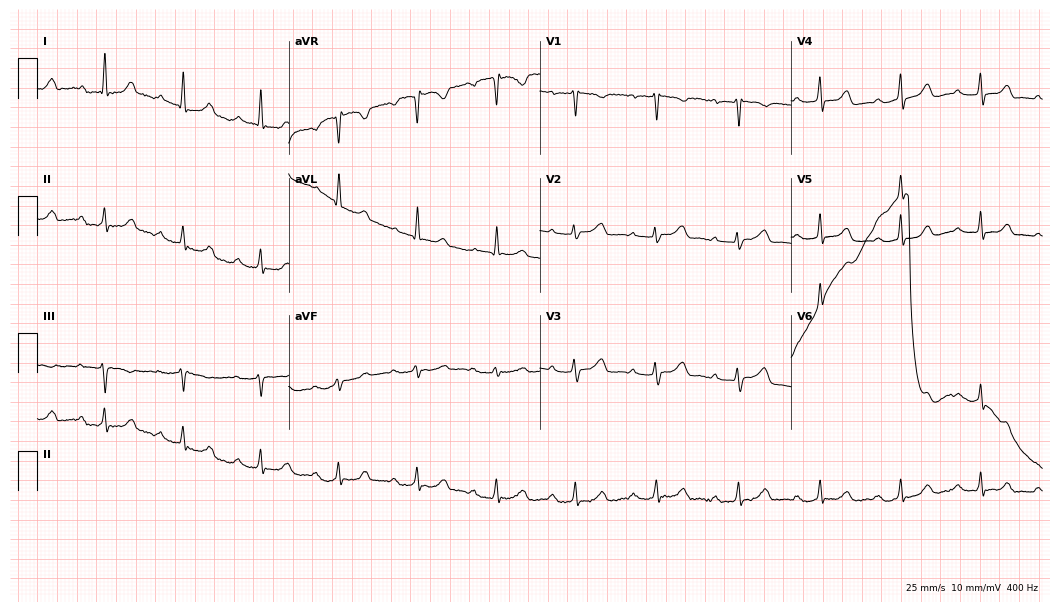
ECG — a 76-year-old female. Findings include first-degree AV block.